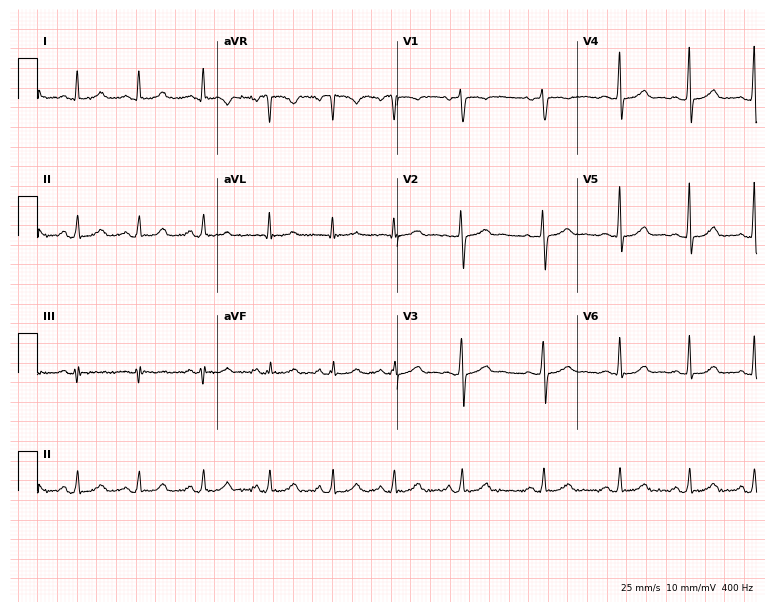
Standard 12-lead ECG recorded from a woman, 45 years old. Read as a normal ECG.